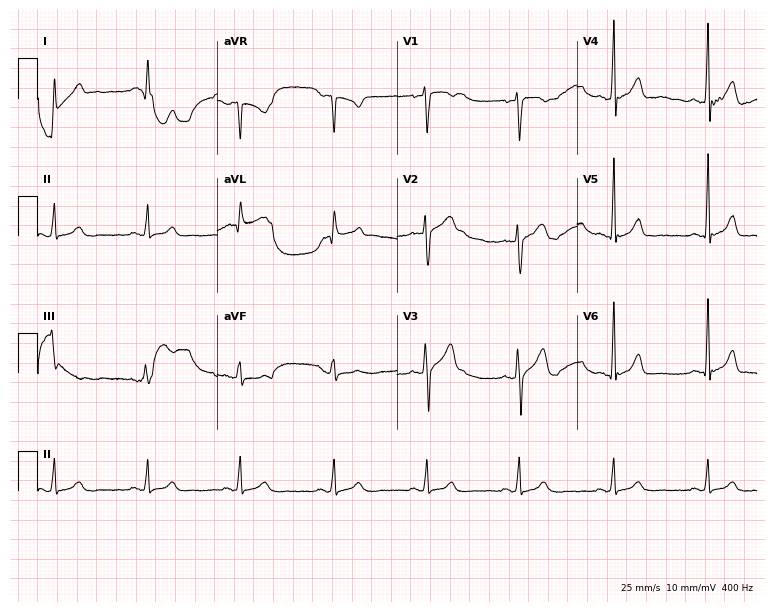
Standard 12-lead ECG recorded from a man, 47 years old (7.3-second recording at 400 Hz). None of these six findings is recorded: first-degree AV block, right bundle branch block (RBBB), left bundle branch block (LBBB), sinus bradycardia, atrial fibrillation (AF), sinus tachycardia. Other findings, if any, are not listed.